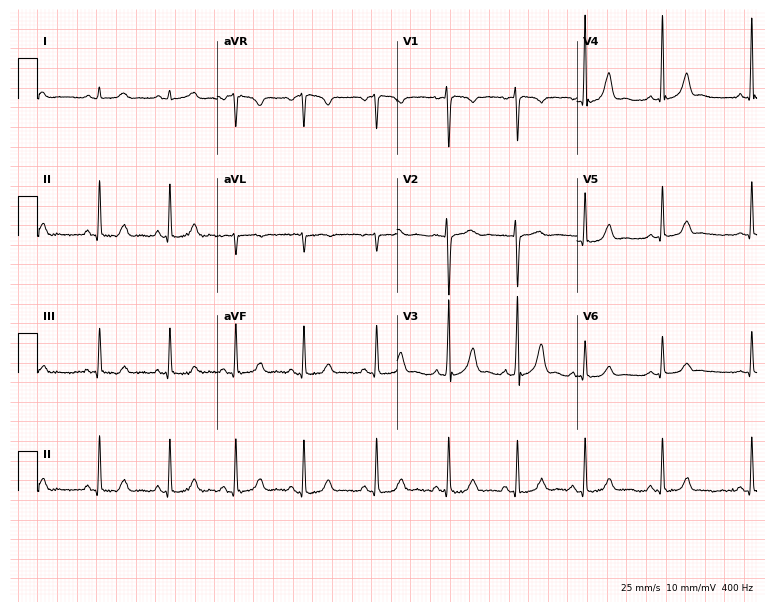
12-lead ECG from a 22-year-old woman. Screened for six findings — first-degree AV block, right bundle branch block (RBBB), left bundle branch block (LBBB), sinus bradycardia, atrial fibrillation (AF), sinus tachycardia — none is recorded.